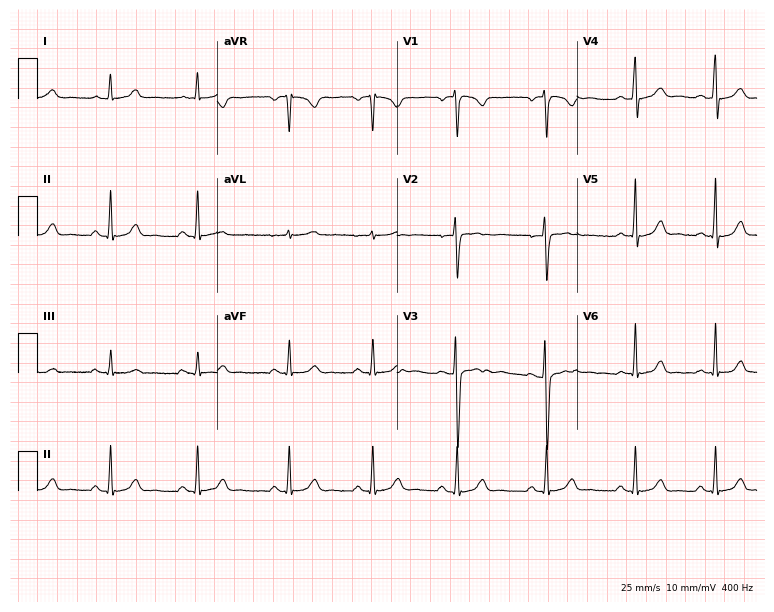
12-lead ECG from a 22-year-old woman. Labelled as a normal ECG.